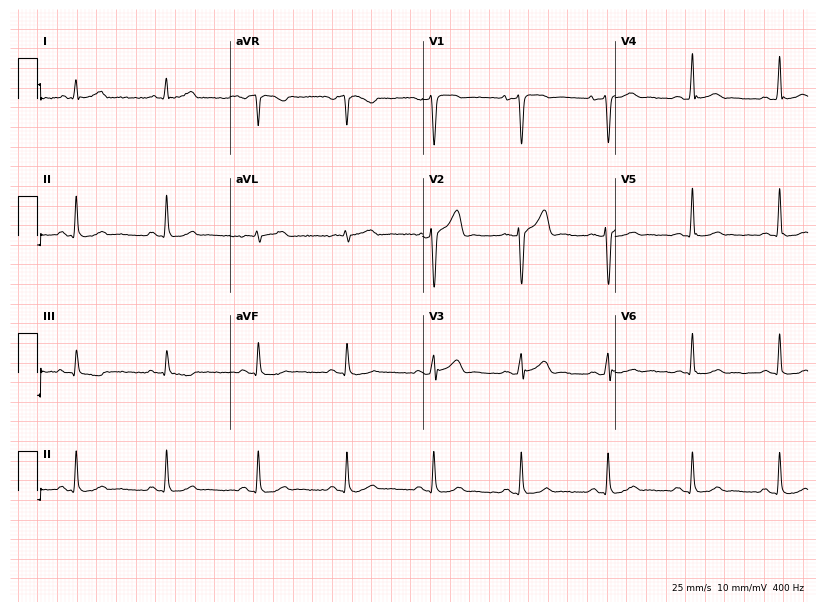
Standard 12-lead ECG recorded from a 47-year-old male (7.9-second recording at 400 Hz). Read as a normal ECG.